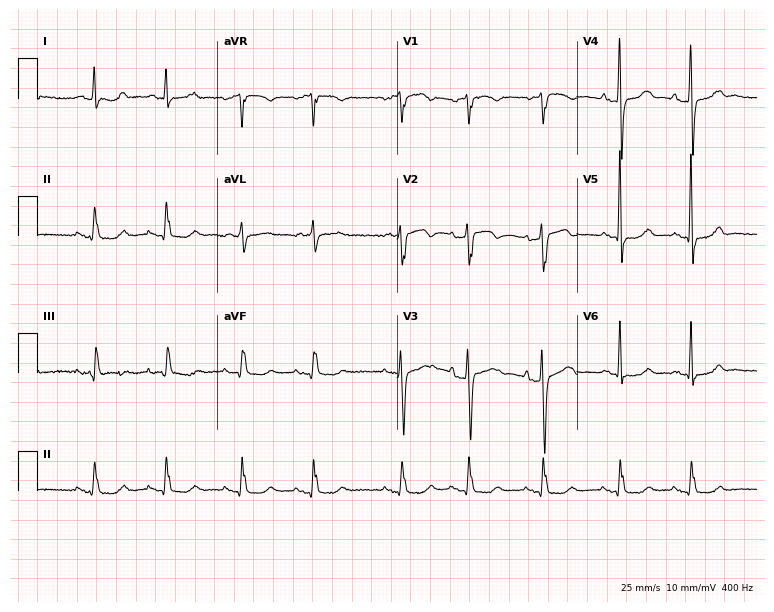
Electrocardiogram, a male, 75 years old. Of the six screened findings (first-degree AV block, right bundle branch block, left bundle branch block, sinus bradycardia, atrial fibrillation, sinus tachycardia), none is recorded. Findings outside these six are not listed.